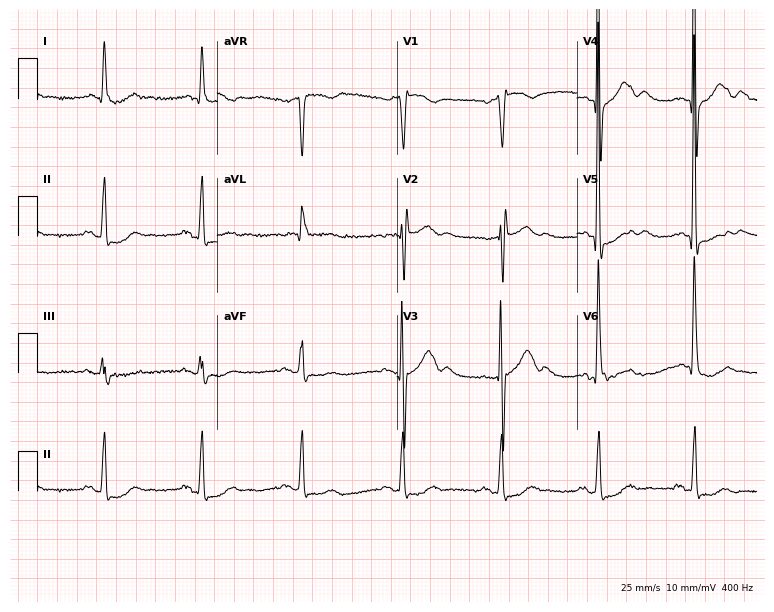
Electrocardiogram, a 78-year-old male patient. Of the six screened findings (first-degree AV block, right bundle branch block, left bundle branch block, sinus bradycardia, atrial fibrillation, sinus tachycardia), none is recorded. Only these six findings were labelled.